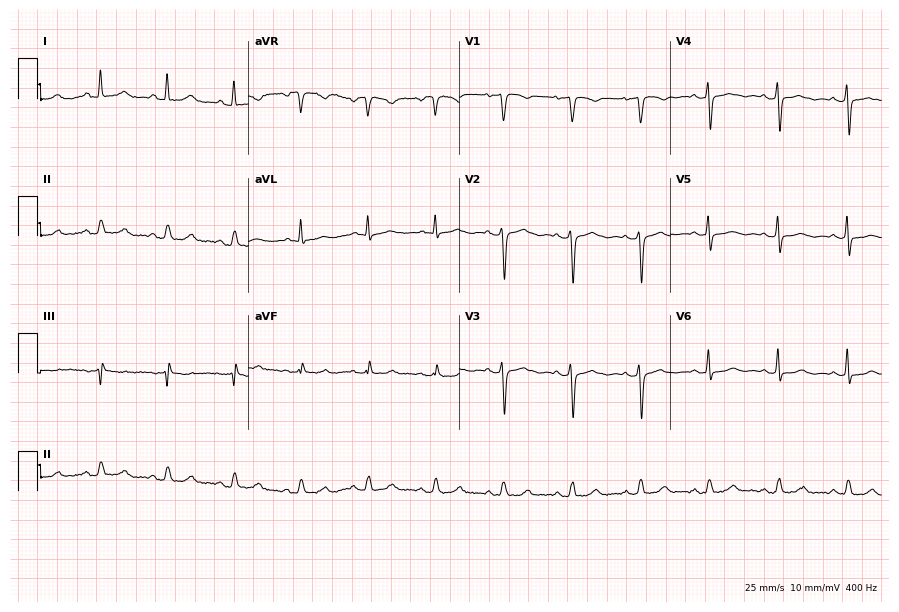
12-lead ECG (8.6-second recording at 400 Hz) from a female, 35 years old. Screened for six findings — first-degree AV block, right bundle branch block, left bundle branch block, sinus bradycardia, atrial fibrillation, sinus tachycardia — none is recorded. Other findings, if any, are not listed.